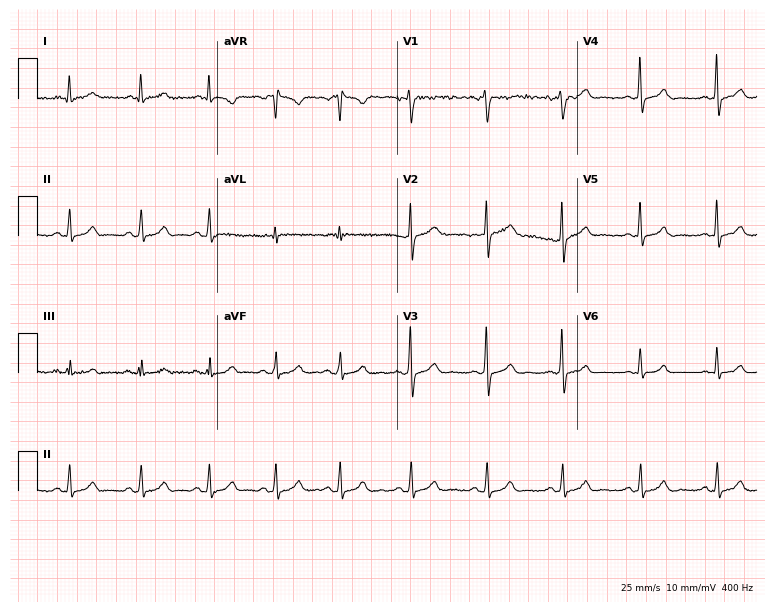
Resting 12-lead electrocardiogram (7.3-second recording at 400 Hz). Patient: a man, 54 years old. Read as a normal ECG.